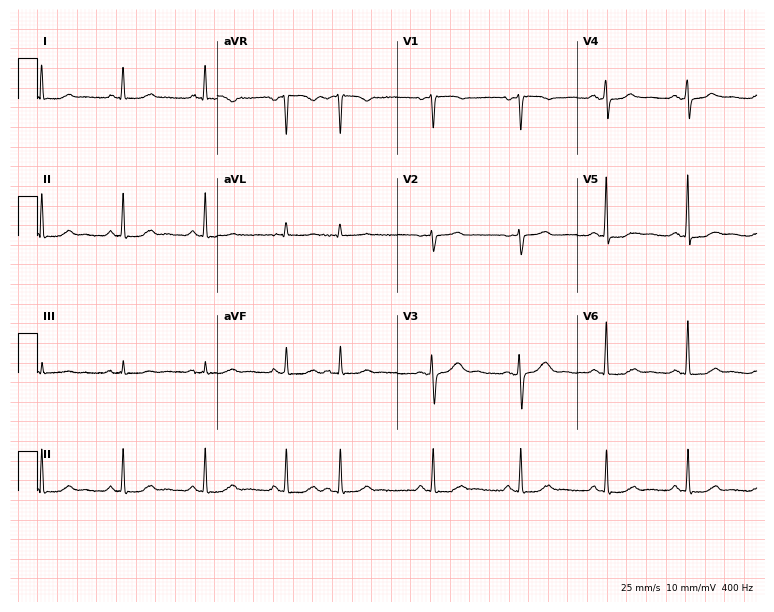
Resting 12-lead electrocardiogram. Patient: a female, 61 years old. None of these six findings is recorded: first-degree AV block, right bundle branch block (RBBB), left bundle branch block (LBBB), sinus bradycardia, atrial fibrillation (AF), sinus tachycardia.